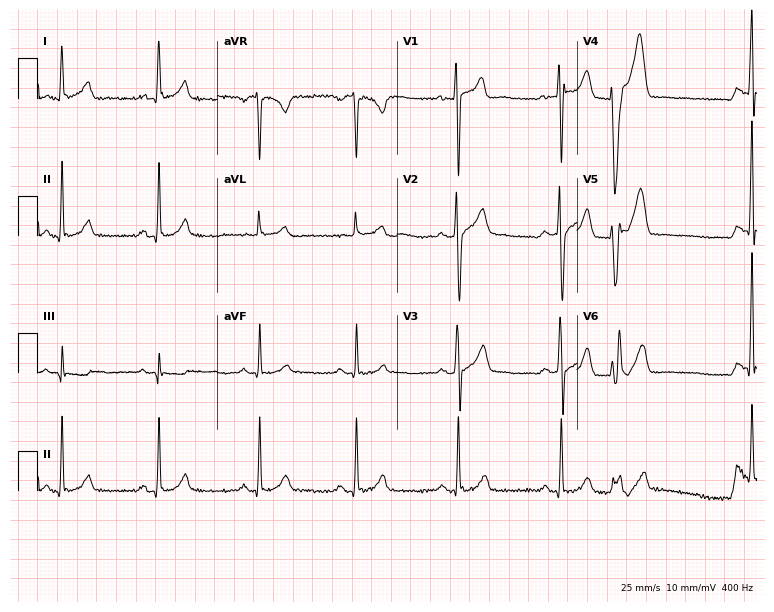
Electrocardiogram (7.3-second recording at 400 Hz), a man, 26 years old. Of the six screened findings (first-degree AV block, right bundle branch block (RBBB), left bundle branch block (LBBB), sinus bradycardia, atrial fibrillation (AF), sinus tachycardia), none is recorded.